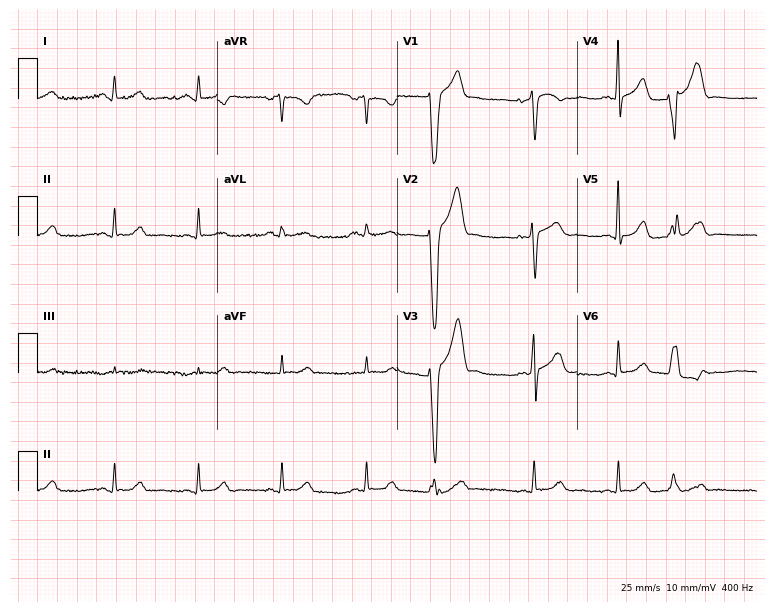
12-lead ECG from a 54-year-old female. Screened for six findings — first-degree AV block, right bundle branch block (RBBB), left bundle branch block (LBBB), sinus bradycardia, atrial fibrillation (AF), sinus tachycardia — none is recorded. Only these six findings were labelled.